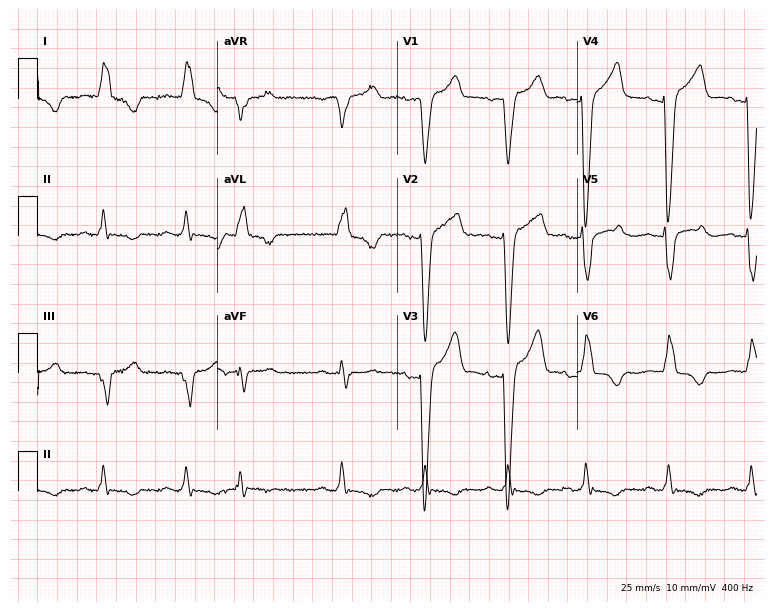
Standard 12-lead ECG recorded from a 73-year-old woman. The tracing shows left bundle branch block.